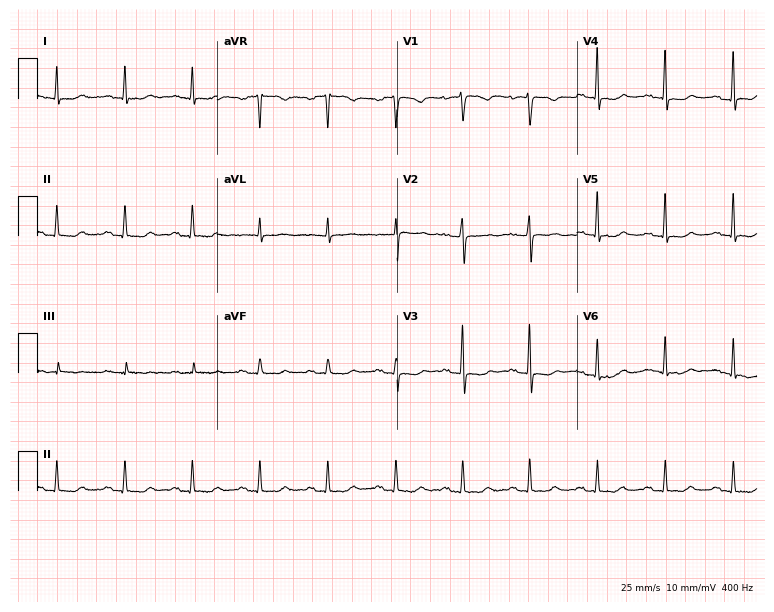
Electrocardiogram, a woman, 69 years old. Of the six screened findings (first-degree AV block, right bundle branch block, left bundle branch block, sinus bradycardia, atrial fibrillation, sinus tachycardia), none is recorded. Other findings, if any, are not listed.